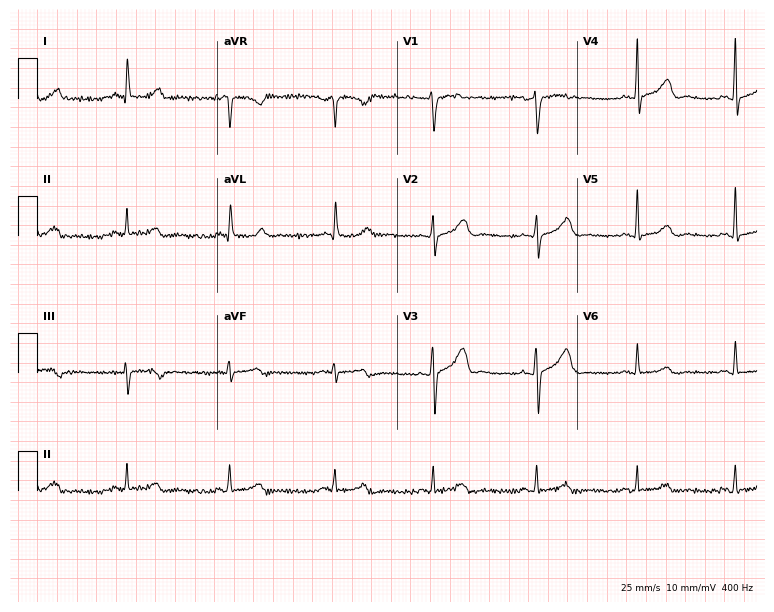
12-lead ECG from a 47-year-old female patient. Recorded interpretation: within normal limits.